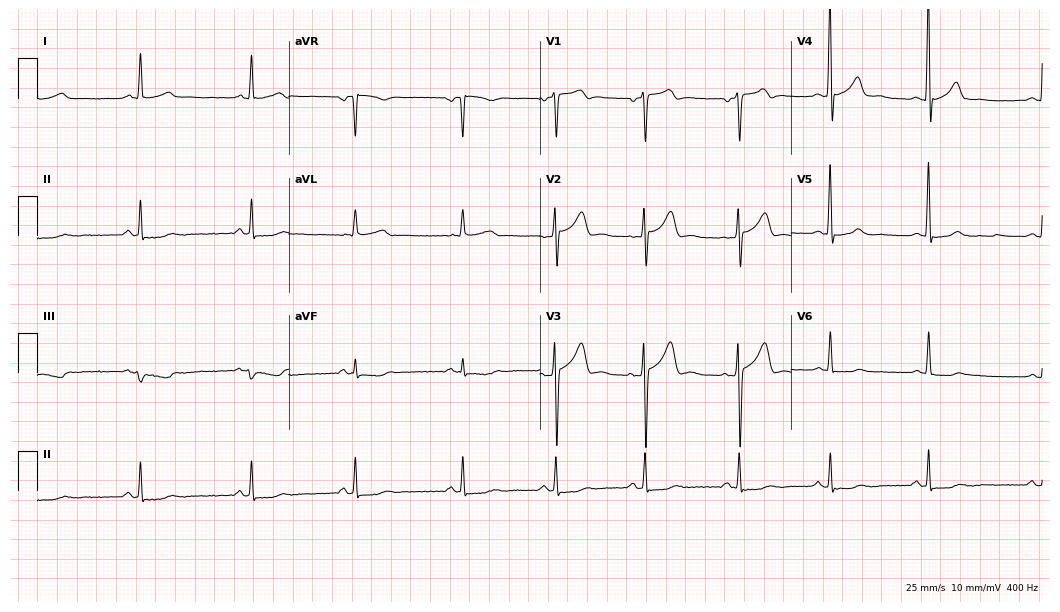
12-lead ECG from a 41-year-old male. No first-degree AV block, right bundle branch block (RBBB), left bundle branch block (LBBB), sinus bradycardia, atrial fibrillation (AF) or sinus tachycardia recorded for this tracing.